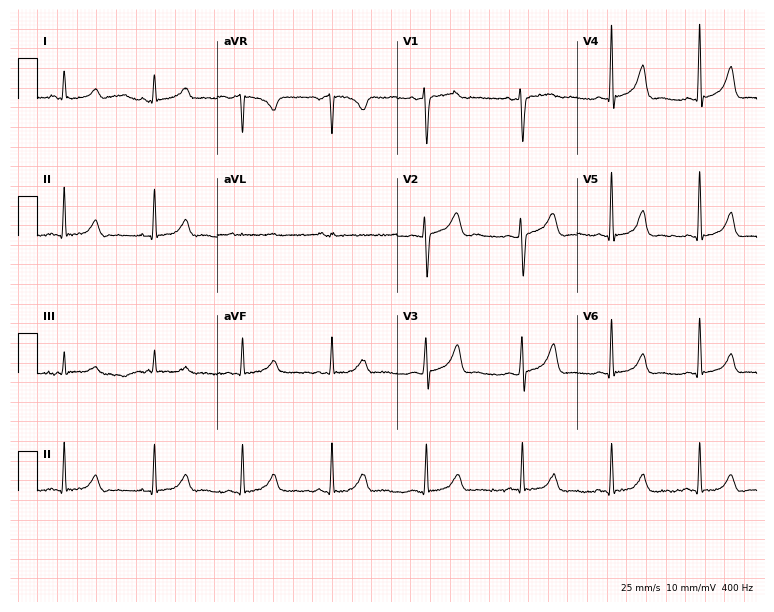
12-lead ECG from a 42-year-old female patient. Recorded interpretation: within normal limits.